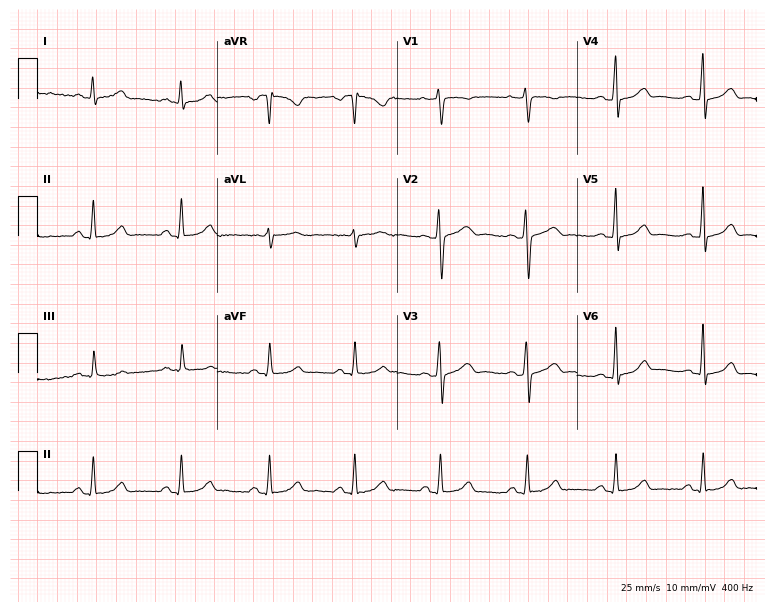
Standard 12-lead ECG recorded from a 32-year-old female patient. None of these six findings is recorded: first-degree AV block, right bundle branch block, left bundle branch block, sinus bradycardia, atrial fibrillation, sinus tachycardia.